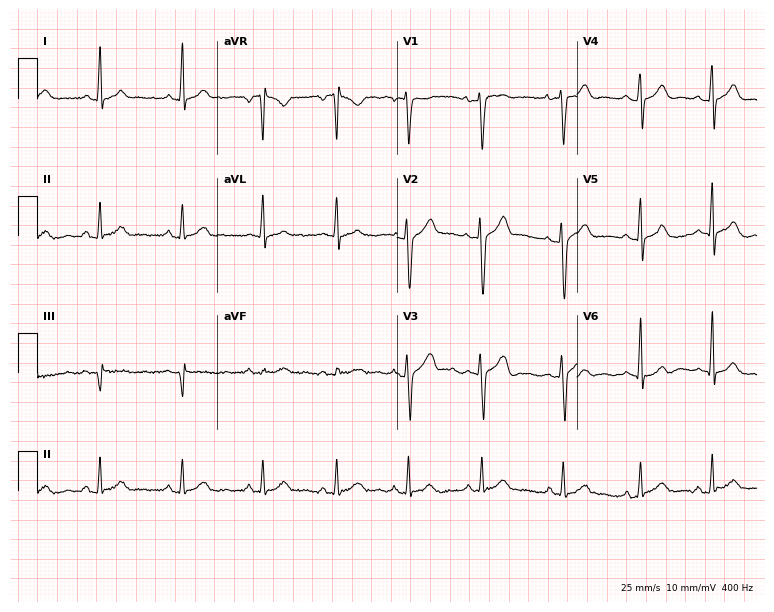
ECG — a female patient, 32 years old. Labelled as a normal ECG.